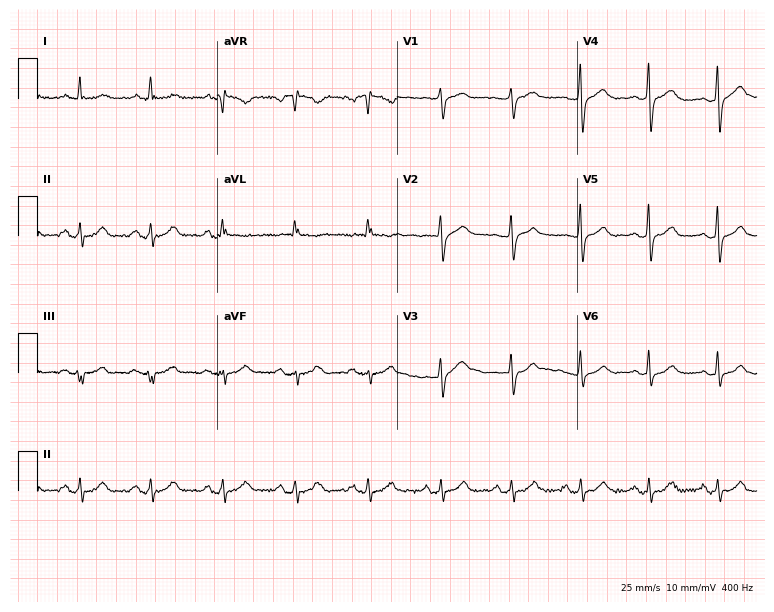
Resting 12-lead electrocardiogram. Patient: a 40-year-old man. None of these six findings is recorded: first-degree AV block, right bundle branch block, left bundle branch block, sinus bradycardia, atrial fibrillation, sinus tachycardia.